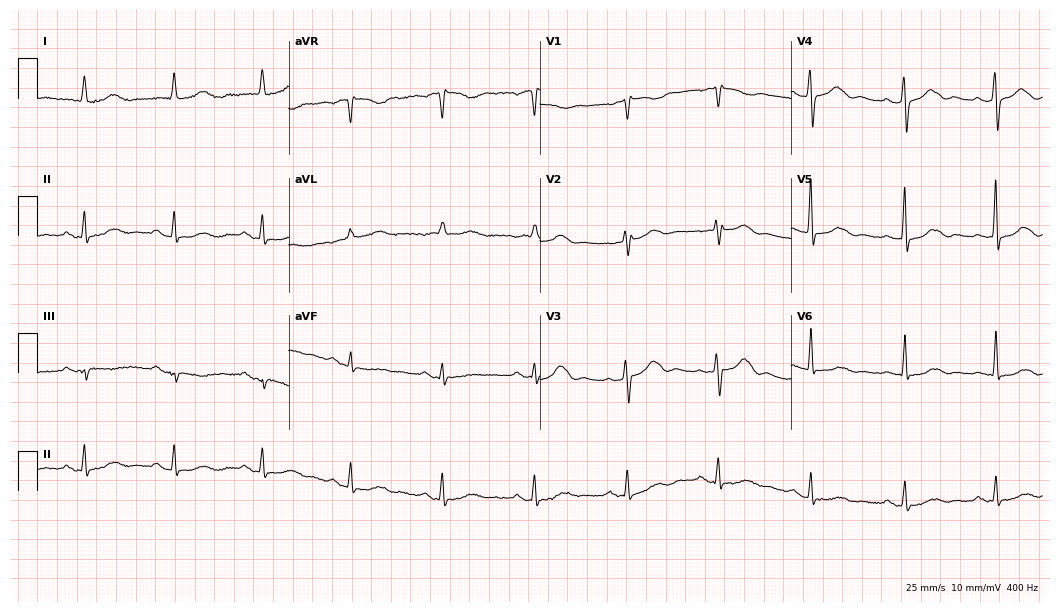
Electrocardiogram (10.2-second recording at 400 Hz), a female patient, 49 years old. Overall reading on record: normal ECG.